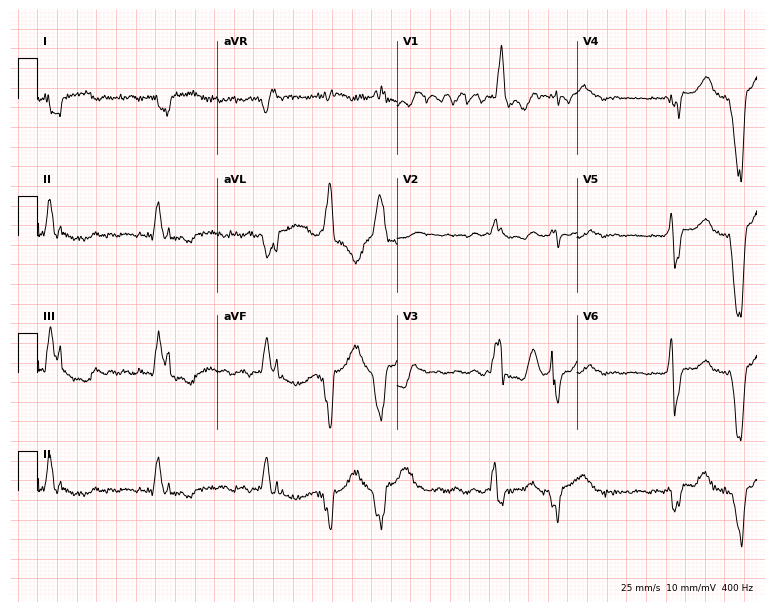
ECG (7.3-second recording at 400 Hz) — a man, 52 years old. Screened for six findings — first-degree AV block, right bundle branch block, left bundle branch block, sinus bradycardia, atrial fibrillation, sinus tachycardia — none is recorded. Other findings, if any, are not listed.